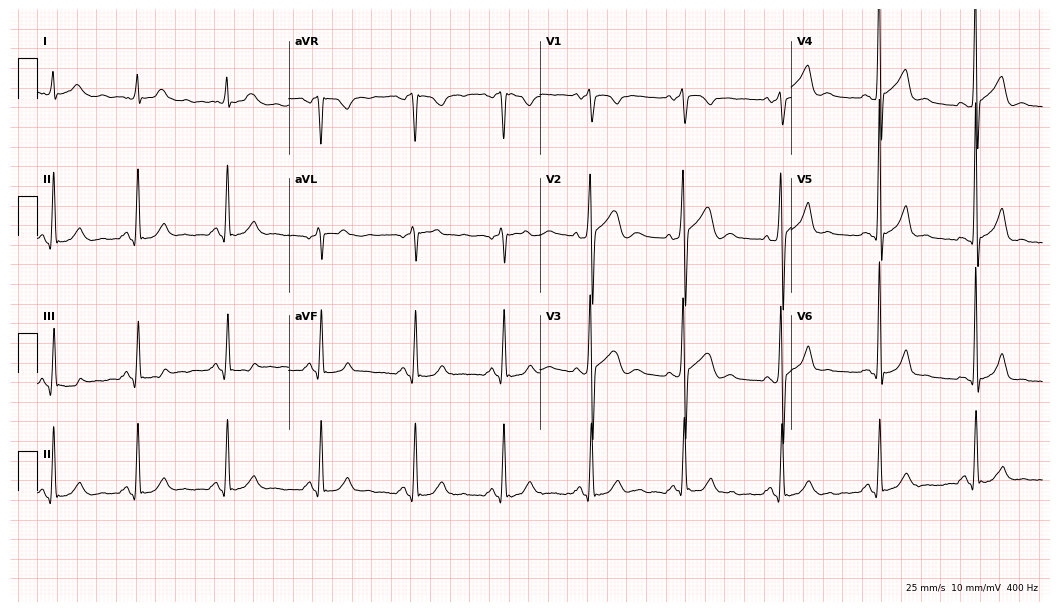
Resting 12-lead electrocardiogram. Patient: a female, 38 years old. Read as a normal ECG.